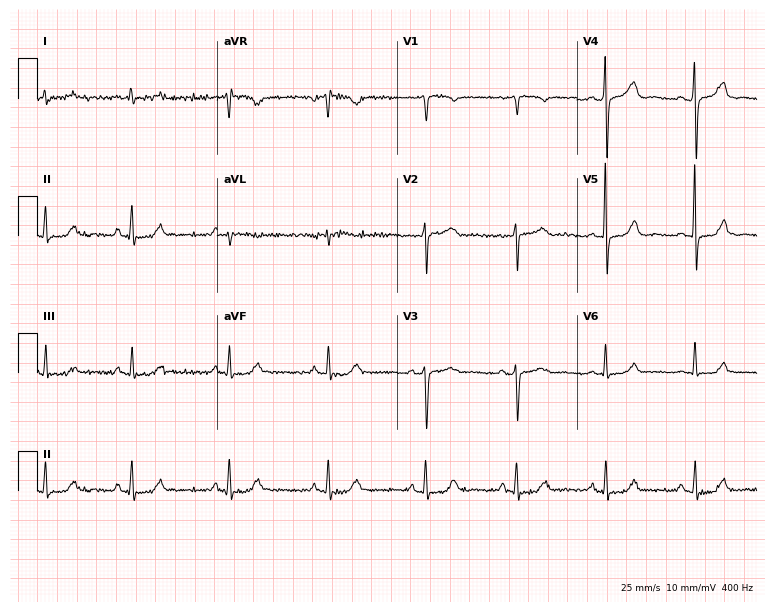
ECG (7.3-second recording at 400 Hz) — a female patient, 57 years old. Labelled as a normal ECG.